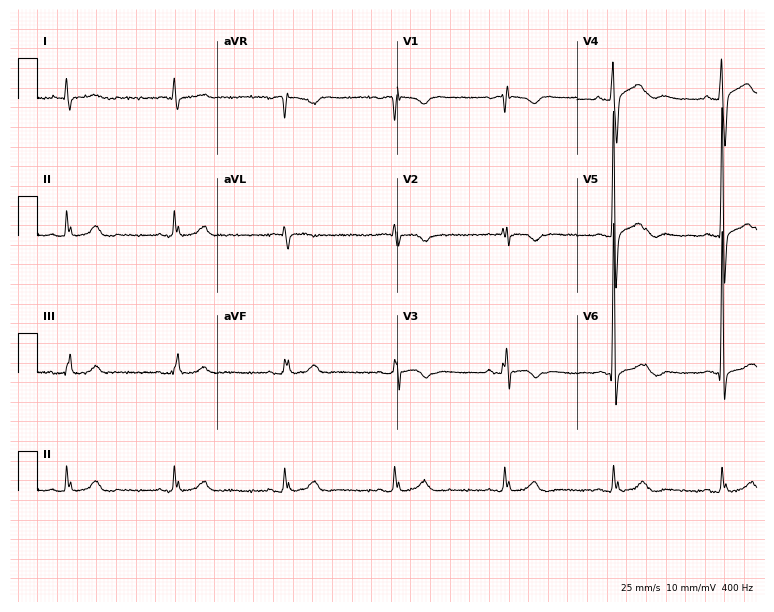
Resting 12-lead electrocardiogram. Patient: a male, 79 years old. None of these six findings is recorded: first-degree AV block, right bundle branch block (RBBB), left bundle branch block (LBBB), sinus bradycardia, atrial fibrillation (AF), sinus tachycardia. Findings outside these six are not listed.